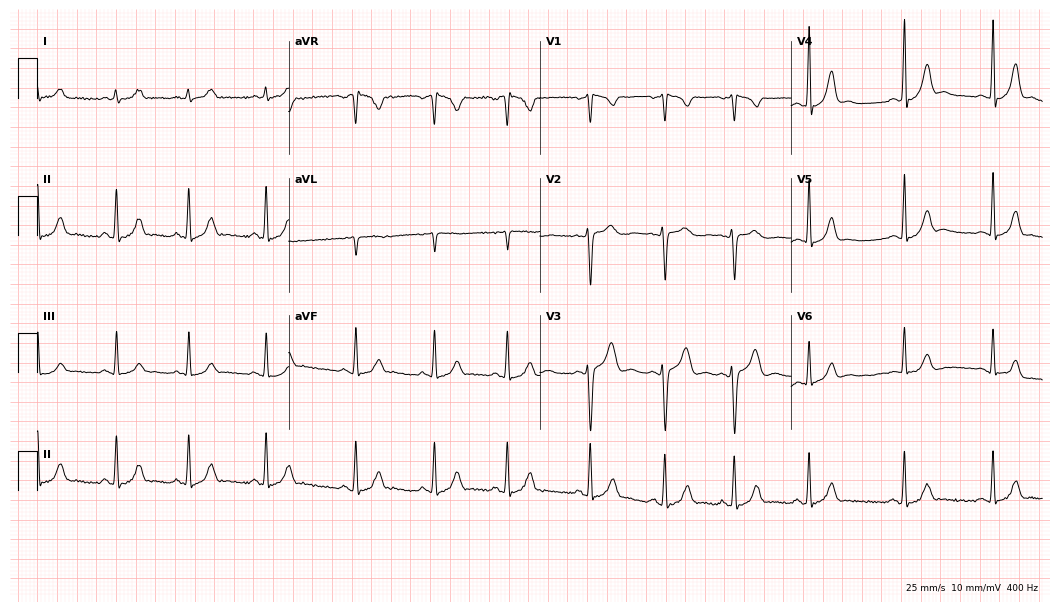
12-lead ECG (10.2-second recording at 400 Hz) from a 21-year-old woman. Screened for six findings — first-degree AV block, right bundle branch block, left bundle branch block, sinus bradycardia, atrial fibrillation, sinus tachycardia — none is recorded.